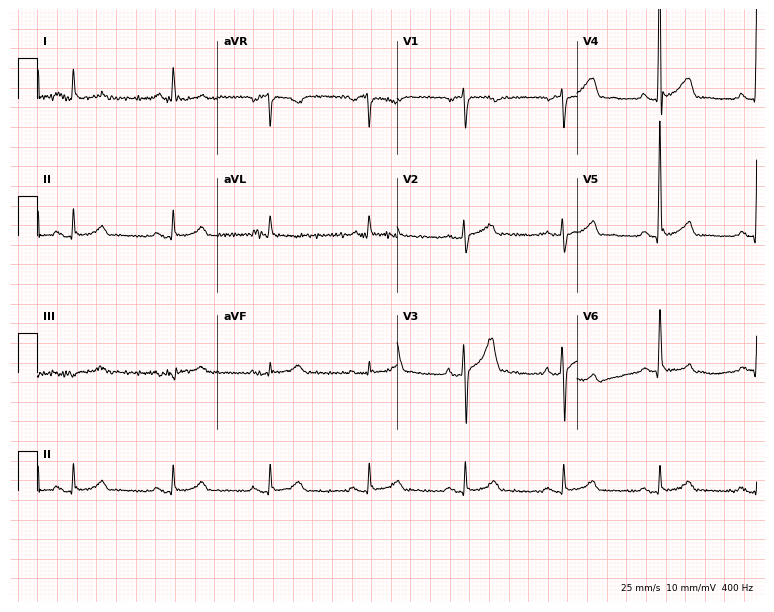
Electrocardiogram, a male, 83 years old. Of the six screened findings (first-degree AV block, right bundle branch block, left bundle branch block, sinus bradycardia, atrial fibrillation, sinus tachycardia), none is recorded. Findings outside these six are not listed.